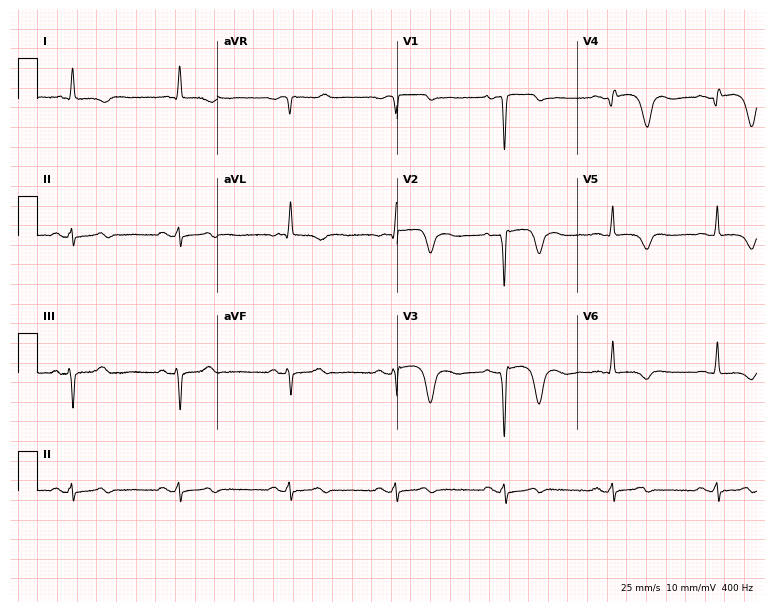
12-lead ECG from an 83-year-old woman. Screened for six findings — first-degree AV block, right bundle branch block, left bundle branch block, sinus bradycardia, atrial fibrillation, sinus tachycardia — none is recorded. Findings outside these six are not listed.